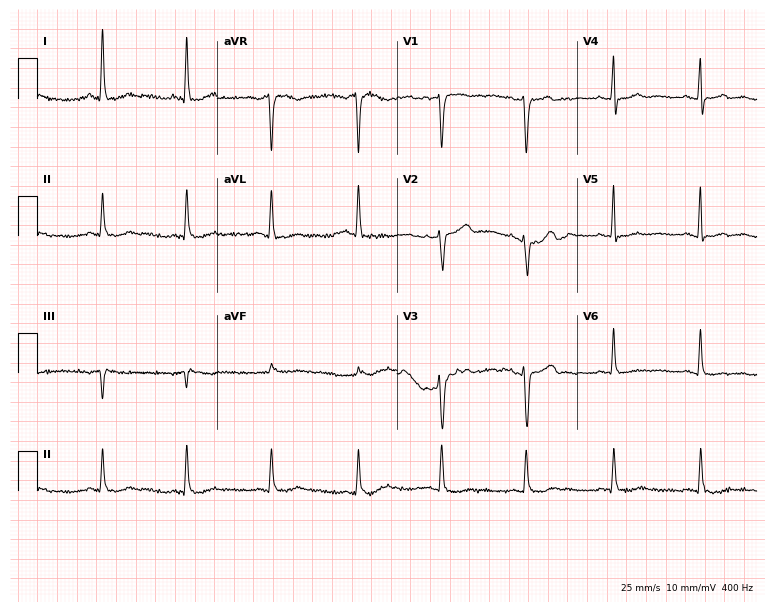
Electrocardiogram (7.3-second recording at 400 Hz), a 52-year-old female patient. Of the six screened findings (first-degree AV block, right bundle branch block (RBBB), left bundle branch block (LBBB), sinus bradycardia, atrial fibrillation (AF), sinus tachycardia), none is recorded.